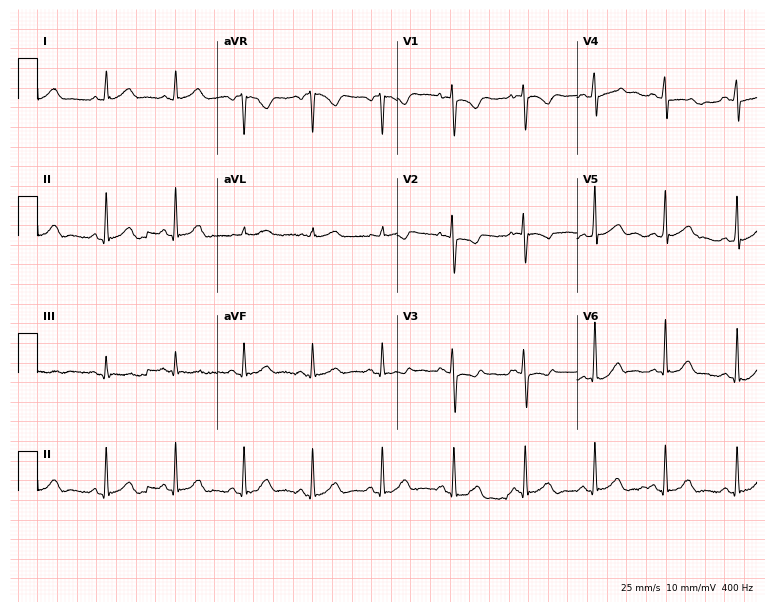
ECG — a female patient, 30 years old. Screened for six findings — first-degree AV block, right bundle branch block, left bundle branch block, sinus bradycardia, atrial fibrillation, sinus tachycardia — none is recorded.